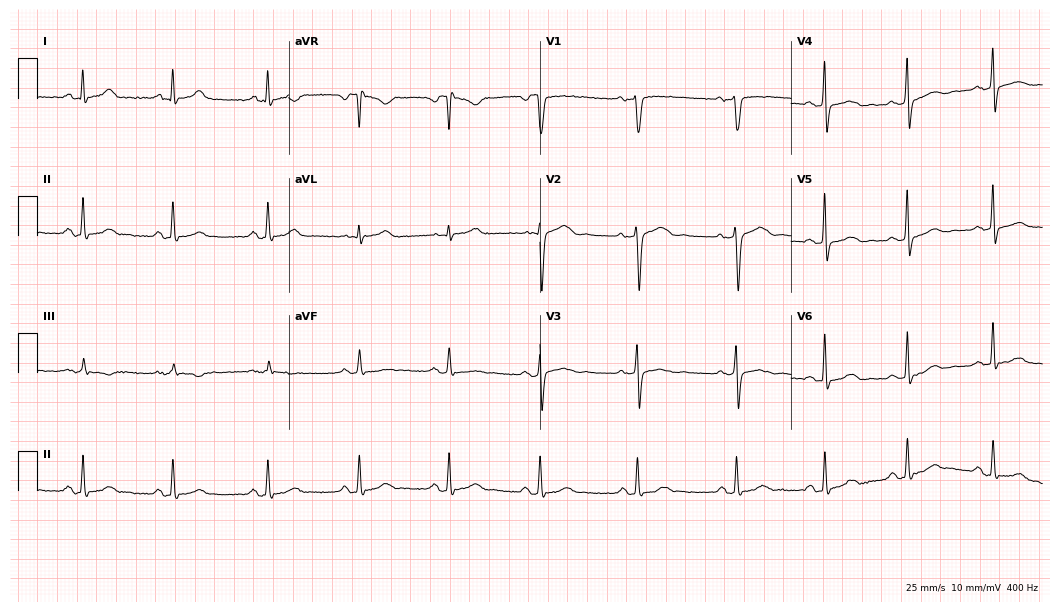
12-lead ECG (10.2-second recording at 400 Hz) from a 38-year-old male patient. Screened for six findings — first-degree AV block, right bundle branch block, left bundle branch block, sinus bradycardia, atrial fibrillation, sinus tachycardia — none is recorded.